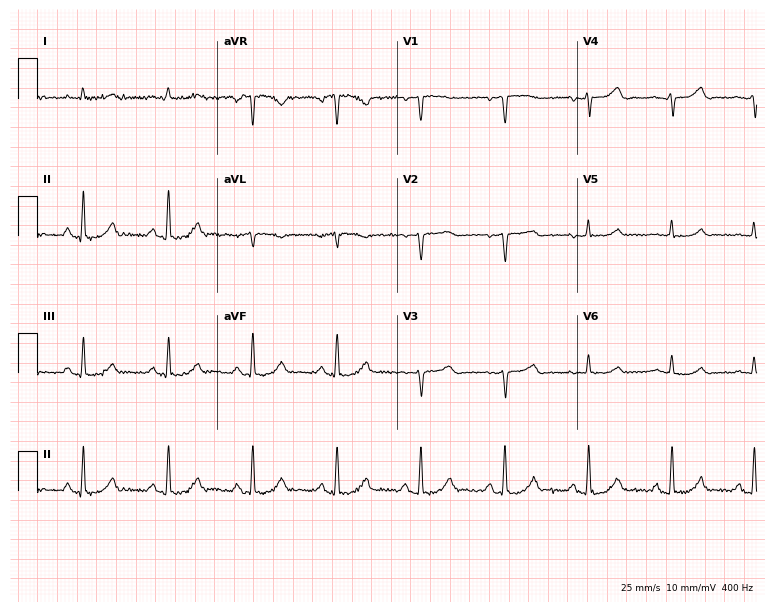
Electrocardiogram (7.3-second recording at 400 Hz), a 66-year-old female patient. Of the six screened findings (first-degree AV block, right bundle branch block, left bundle branch block, sinus bradycardia, atrial fibrillation, sinus tachycardia), none is recorded. Findings outside these six are not listed.